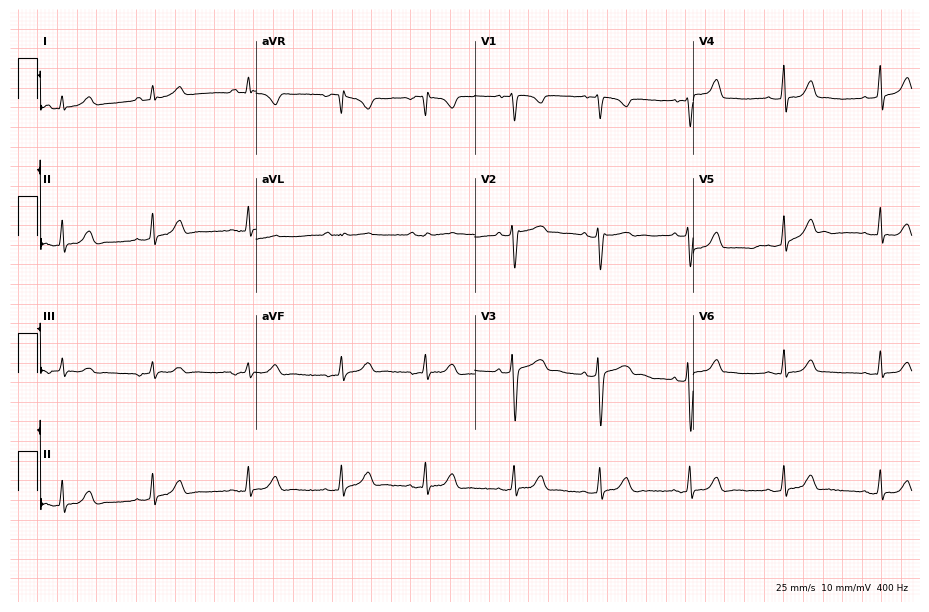
12-lead ECG from a woman, 40 years old. Labelled as a normal ECG.